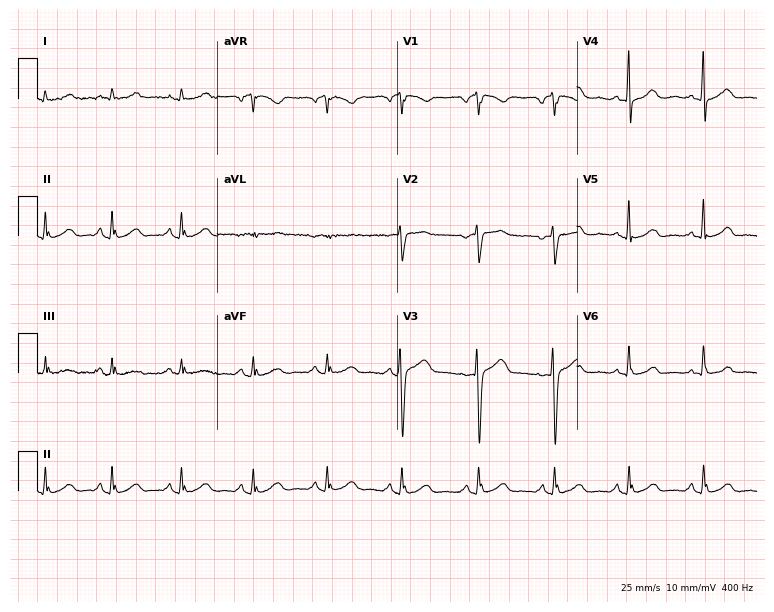
12-lead ECG (7.3-second recording at 400 Hz) from a female patient, 64 years old. Labelled as a normal ECG.